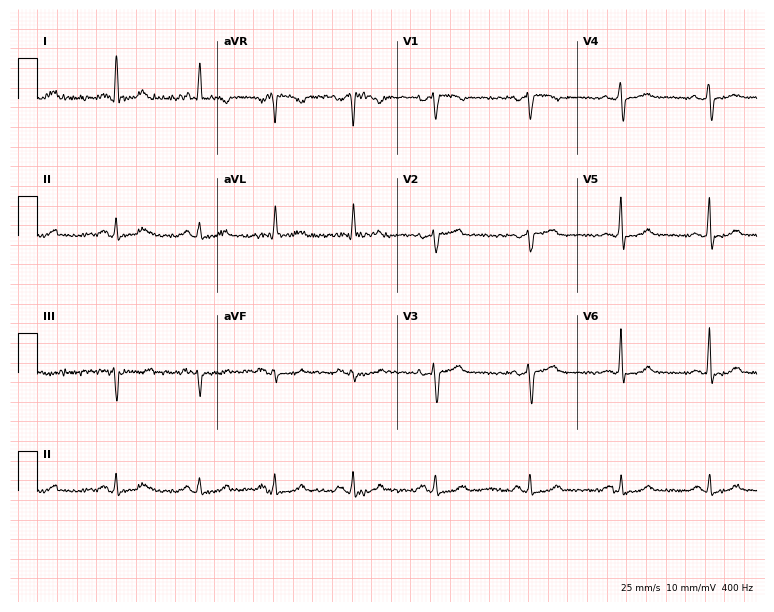
12-lead ECG from a 52-year-old woman. No first-degree AV block, right bundle branch block (RBBB), left bundle branch block (LBBB), sinus bradycardia, atrial fibrillation (AF) or sinus tachycardia recorded for this tracing. Findings outside these six are not listed.